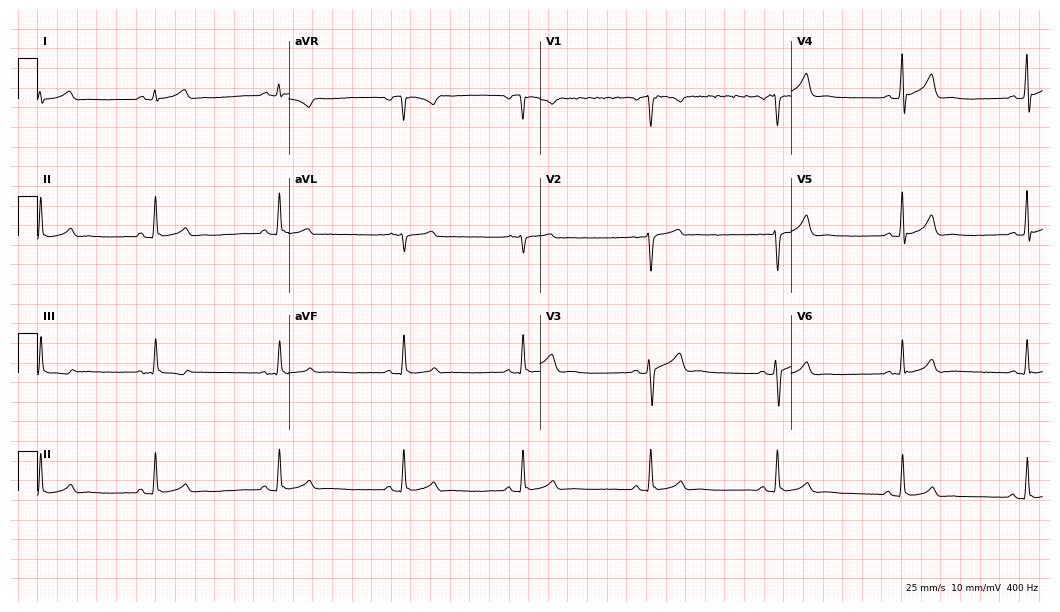
Resting 12-lead electrocardiogram (10.2-second recording at 400 Hz). Patient: a male, 34 years old. The tracing shows sinus bradycardia (a sinus rate of 50 beats per minute or less).